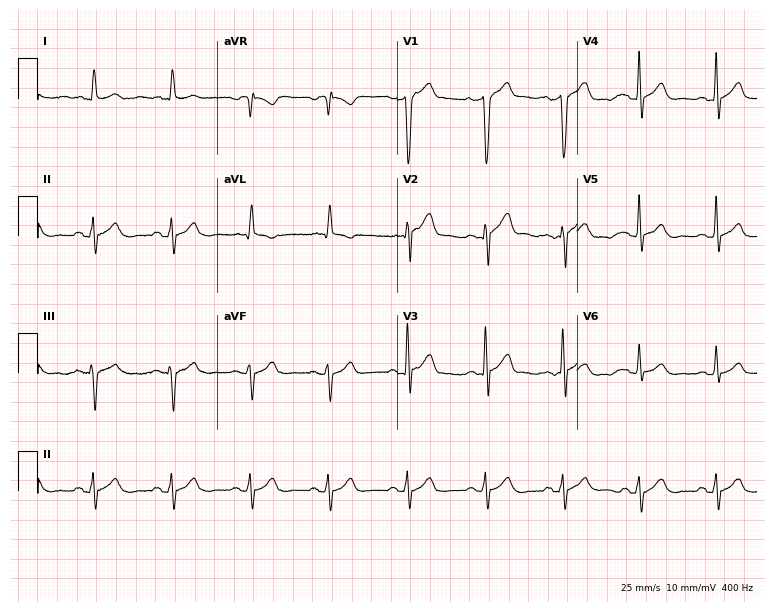
12-lead ECG from a male, 66 years old (7.3-second recording at 400 Hz). Recorded interpretation: within normal limits.